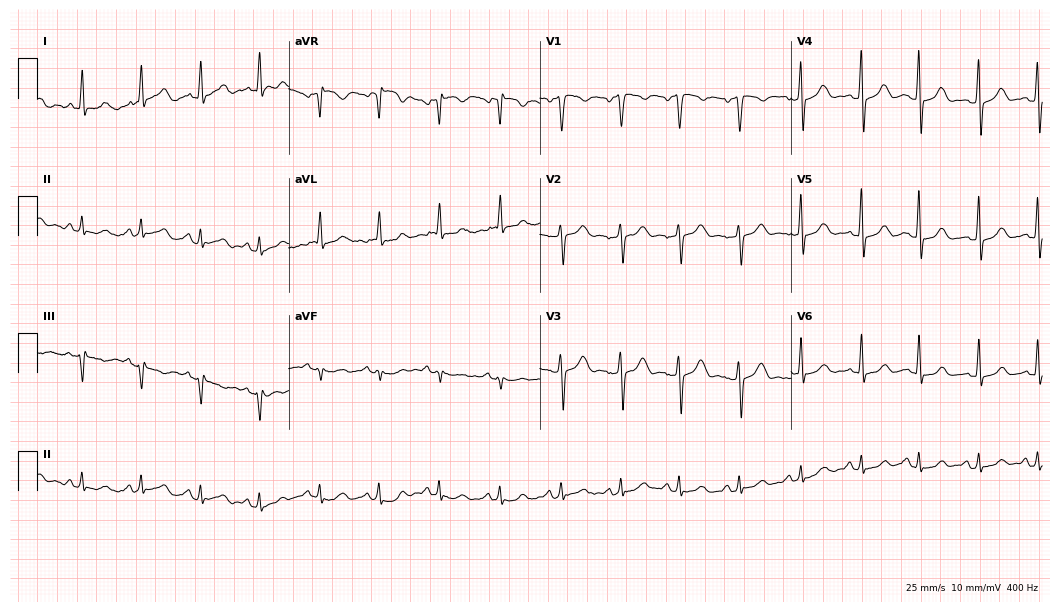
Standard 12-lead ECG recorded from a 35-year-old female patient. Read as a normal ECG.